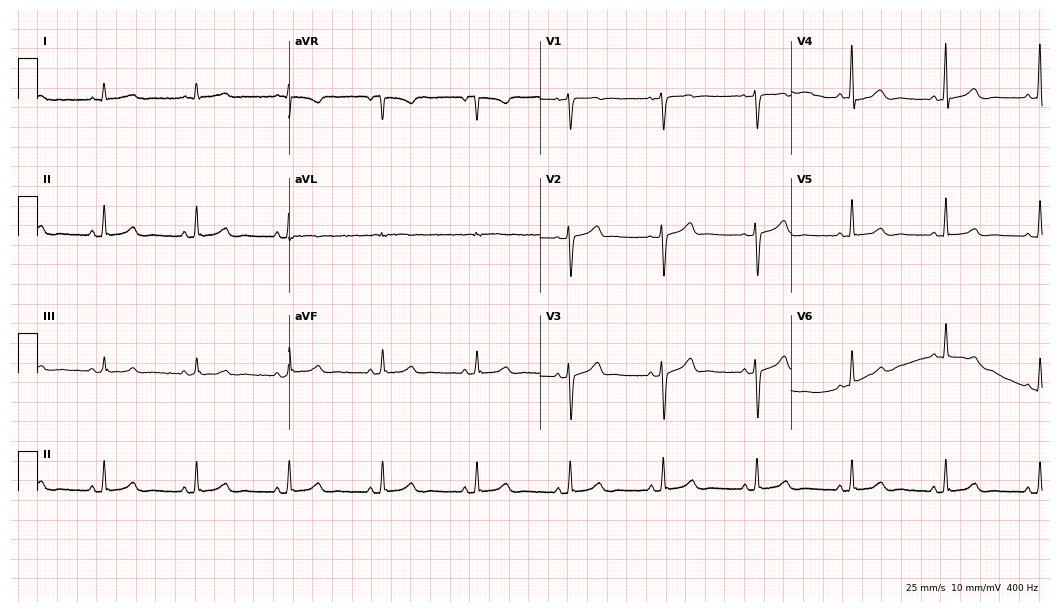
ECG — a female patient, 55 years old. Screened for six findings — first-degree AV block, right bundle branch block, left bundle branch block, sinus bradycardia, atrial fibrillation, sinus tachycardia — none is recorded.